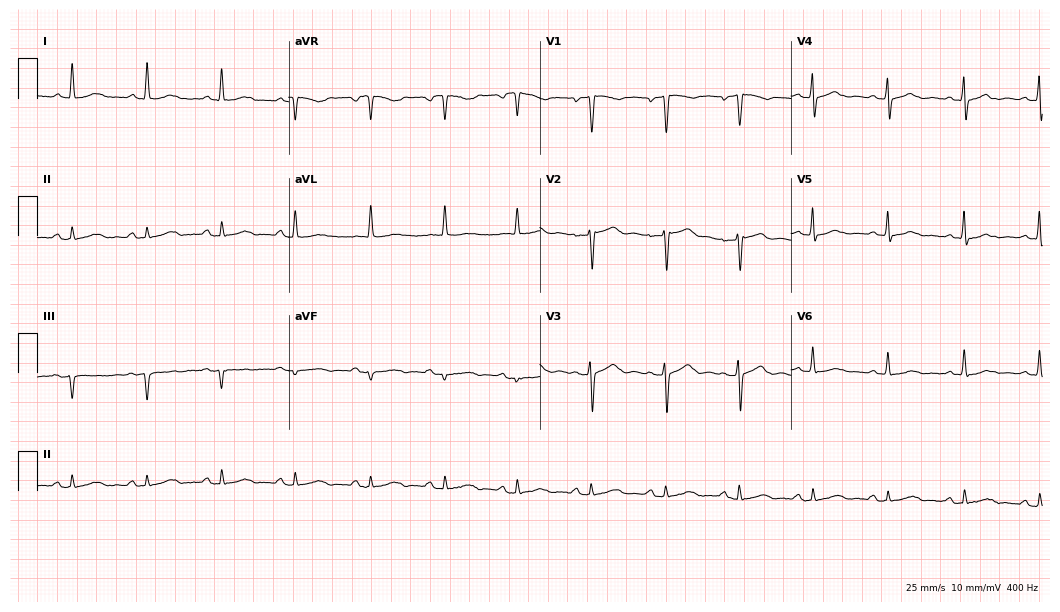
12-lead ECG from a woman, 67 years old. Labelled as a normal ECG.